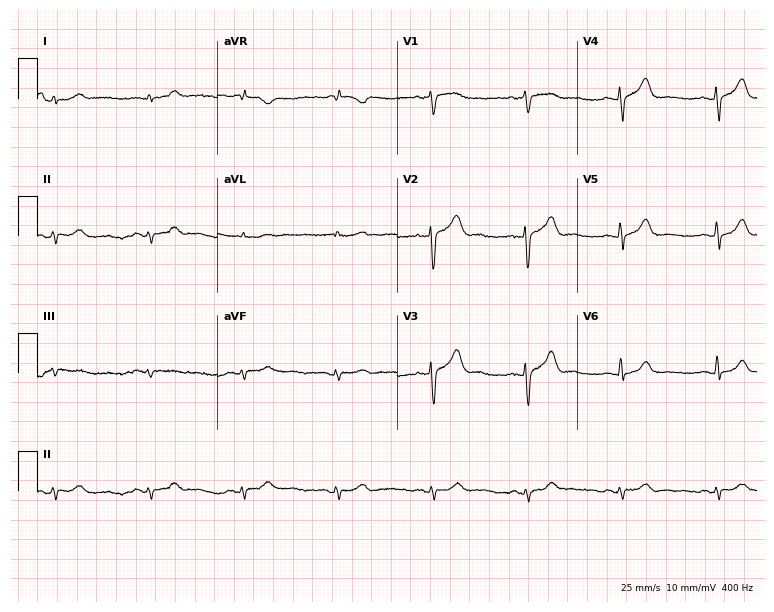
Standard 12-lead ECG recorded from a 69-year-old male patient (7.3-second recording at 400 Hz). None of these six findings is recorded: first-degree AV block, right bundle branch block, left bundle branch block, sinus bradycardia, atrial fibrillation, sinus tachycardia.